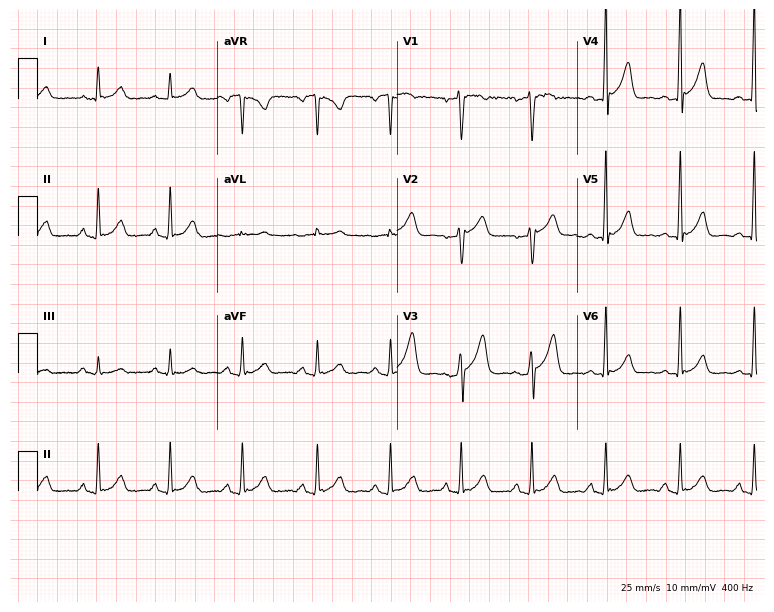
Resting 12-lead electrocardiogram (7.3-second recording at 400 Hz). Patient: a man, 43 years old. None of these six findings is recorded: first-degree AV block, right bundle branch block, left bundle branch block, sinus bradycardia, atrial fibrillation, sinus tachycardia.